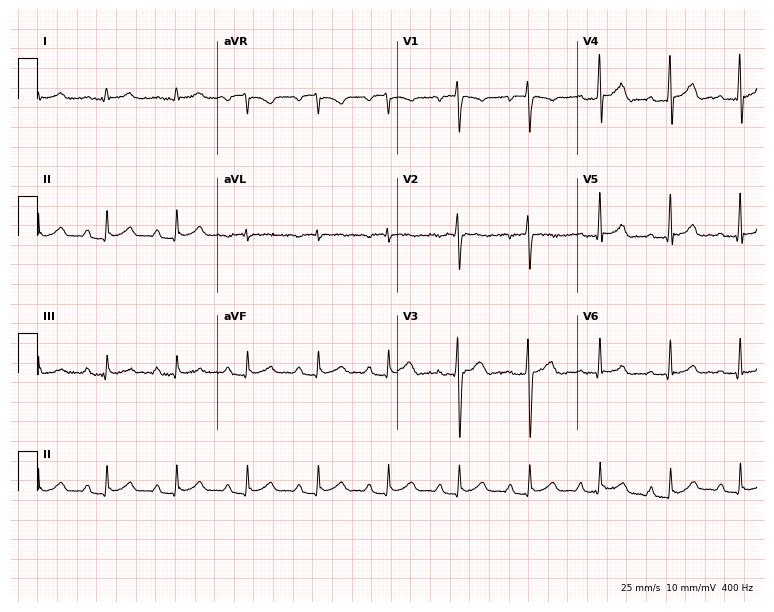
12-lead ECG from an 18-year-old man (7.3-second recording at 400 Hz). Recorded interpretation: within normal limits.